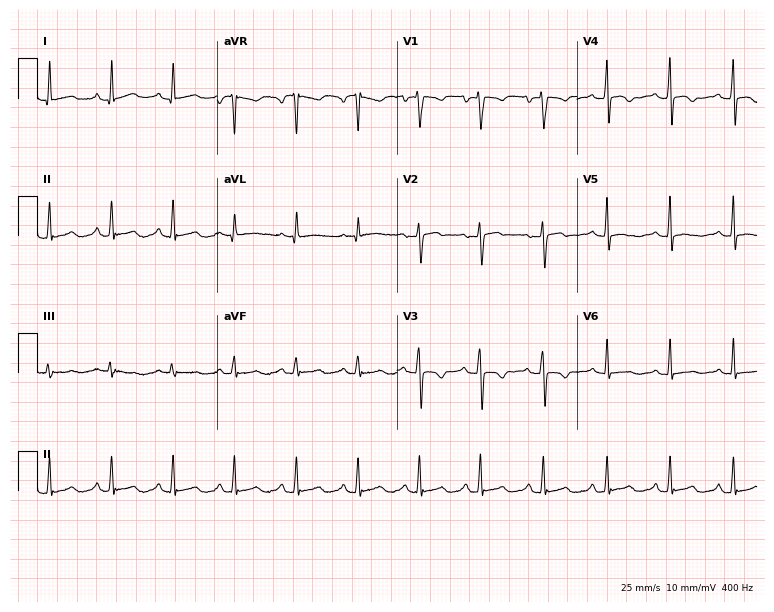
Resting 12-lead electrocardiogram. Patient: a woman, 26 years old. None of these six findings is recorded: first-degree AV block, right bundle branch block, left bundle branch block, sinus bradycardia, atrial fibrillation, sinus tachycardia. Only these six findings were labelled.